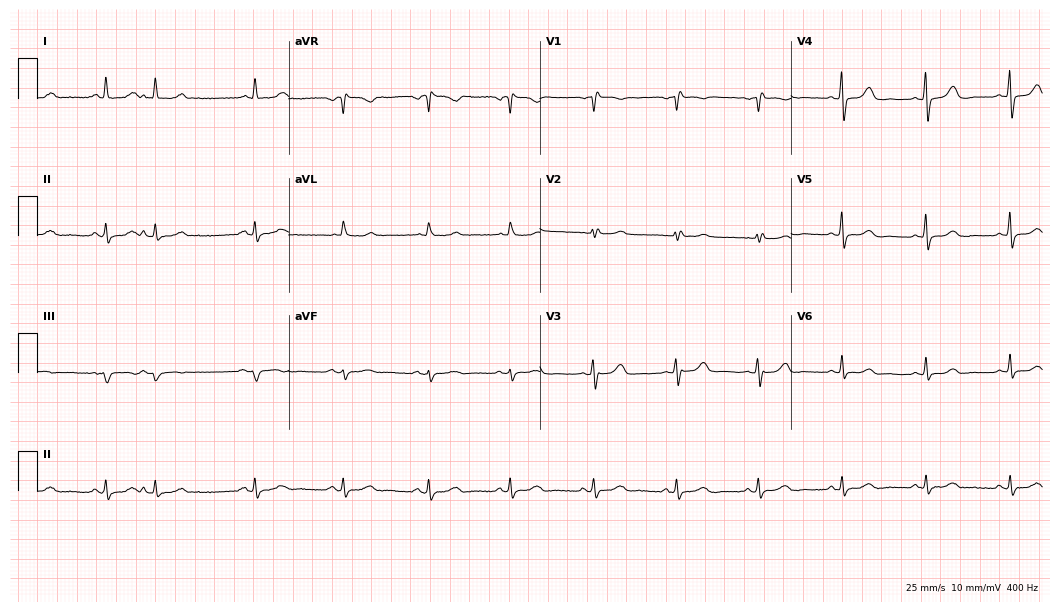
Resting 12-lead electrocardiogram (10.2-second recording at 400 Hz). Patient: a 61-year-old female. None of these six findings is recorded: first-degree AV block, right bundle branch block, left bundle branch block, sinus bradycardia, atrial fibrillation, sinus tachycardia. Only these six findings were labelled.